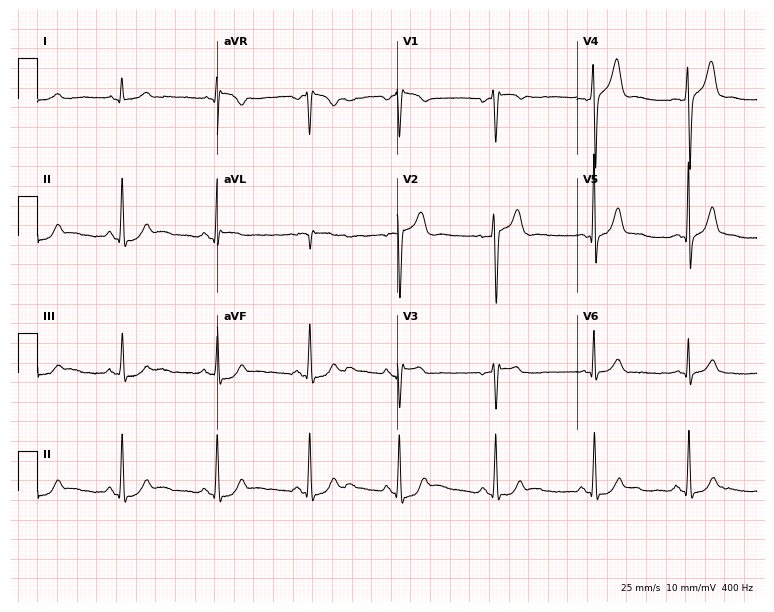
ECG (7.3-second recording at 400 Hz) — a 52-year-old male. Labelled as a normal ECG.